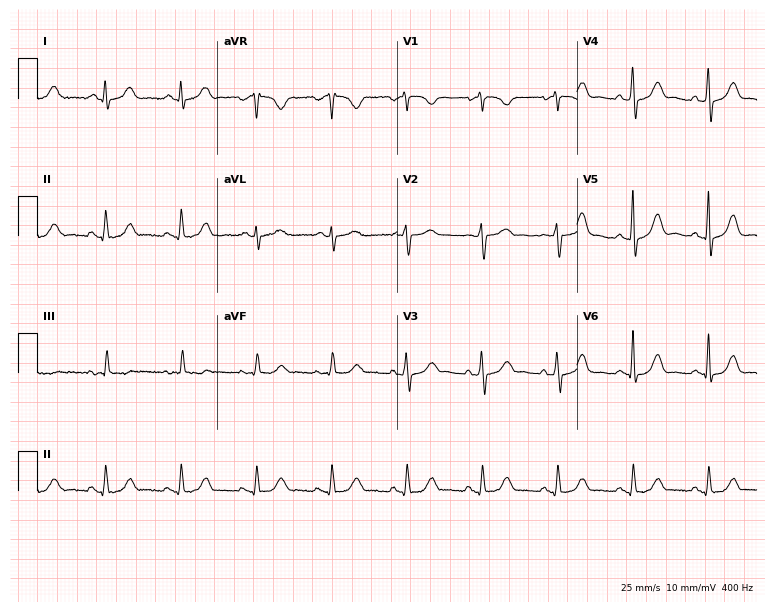
Electrocardiogram (7.3-second recording at 400 Hz), a female patient, 71 years old. Overall reading on record: normal ECG.